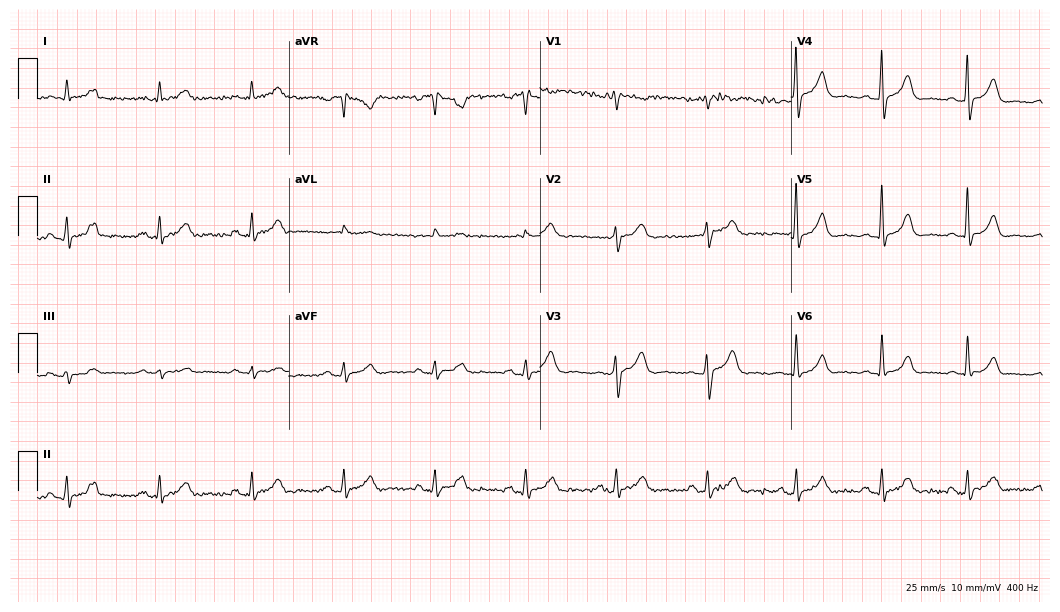
Resting 12-lead electrocardiogram. Patient: a 76-year-old male. None of these six findings is recorded: first-degree AV block, right bundle branch block, left bundle branch block, sinus bradycardia, atrial fibrillation, sinus tachycardia.